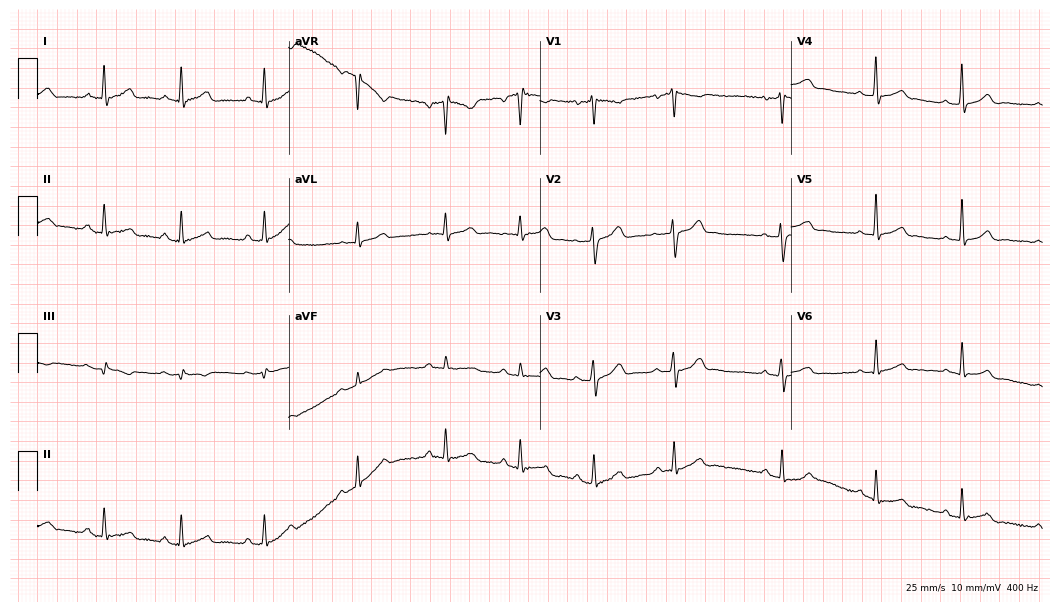
ECG (10.2-second recording at 400 Hz) — a woman, 38 years old. Labelled as a normal ECG.